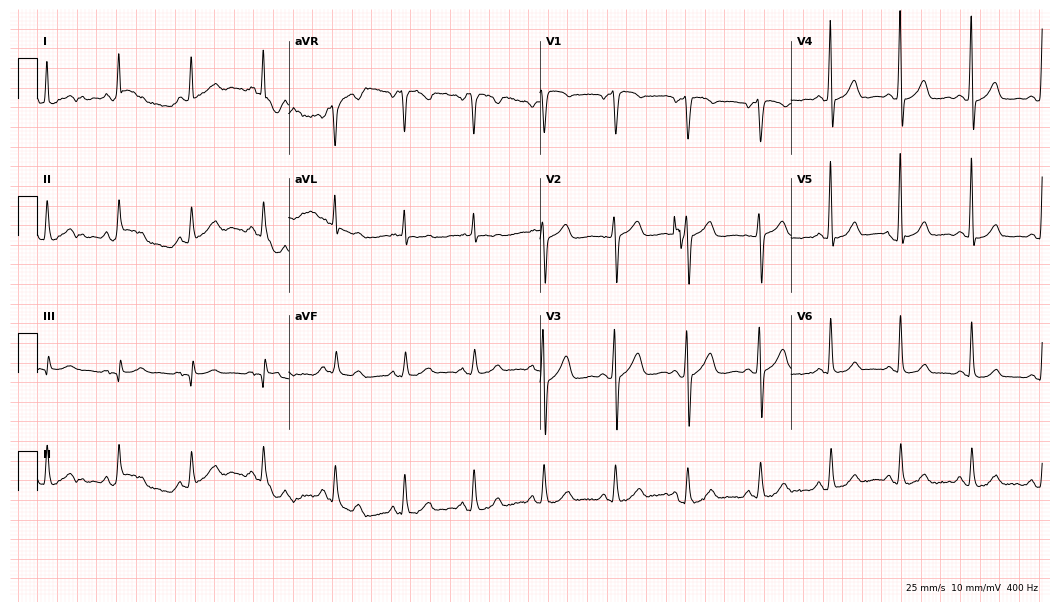
12-lead ECG (10.2-second recording at 400 Hz) from a 55-year-old female patient. Labelled as a normal ECG.